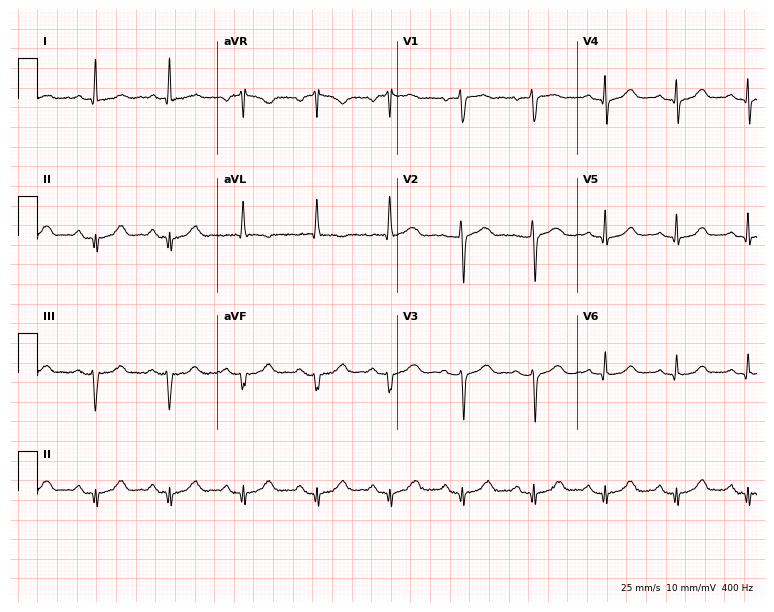
Standard 12-lead ECG recorded from a 75-year-old female patient. None of these six findings is recorded: first-degree AV block, right bundle branch block, left bundle branch block, sinus bradycardia, atrial fibrillation, sinus tachycardia.